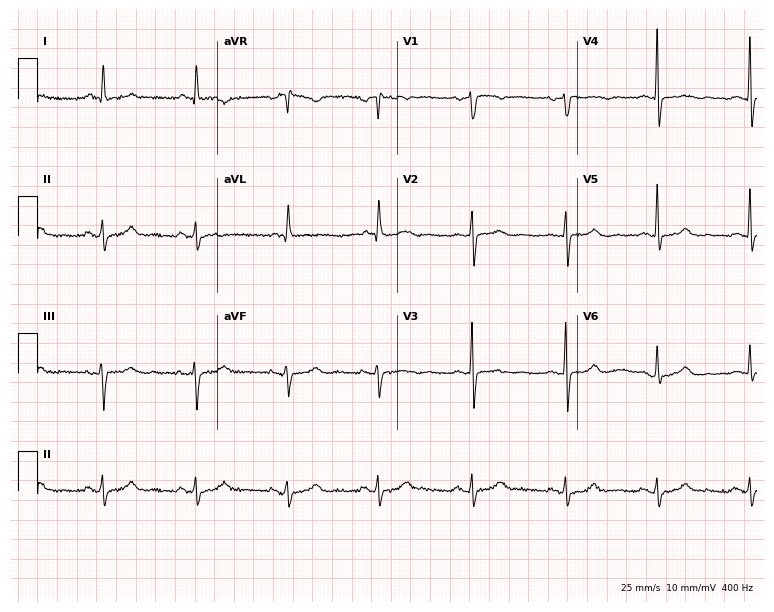
12-lead ECG (7.3-second recording at 400 Hz) from a 64-year-old female patient. Labelled as a normal ECG.